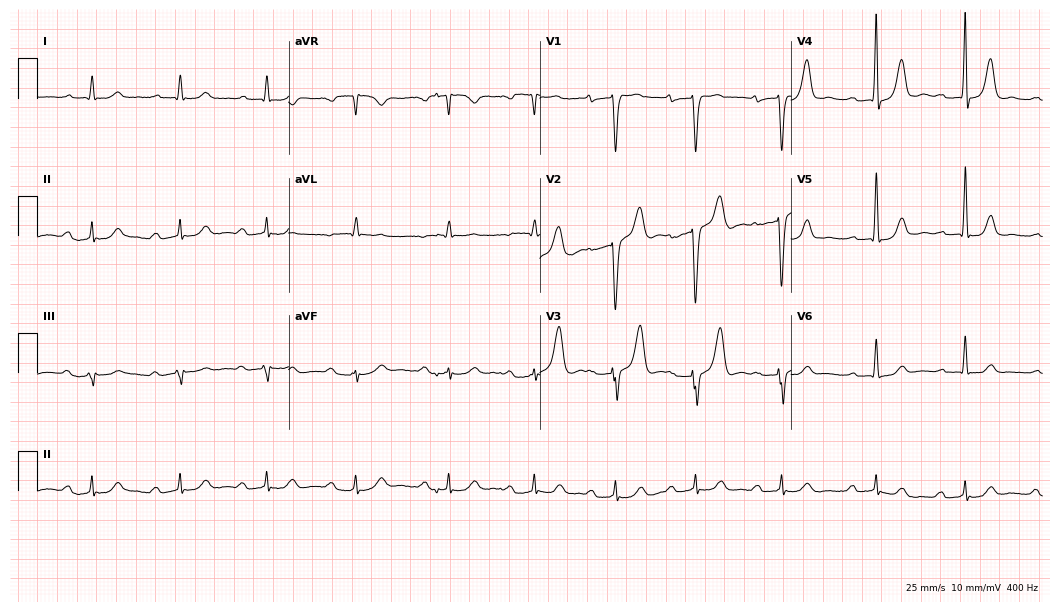
Resting 12-lead electrocardiogram. Patient: an 83-year-old male. The tracing shows first-degree AV block.